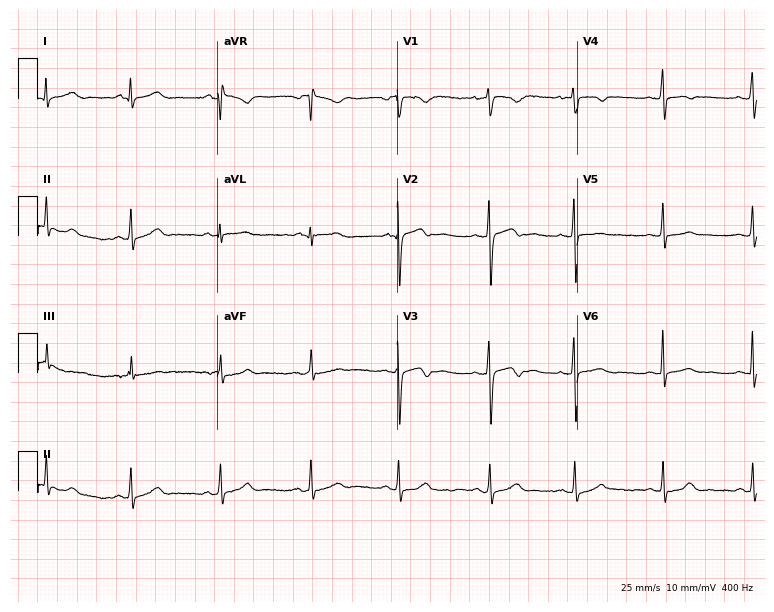
Resting 12-lead electrocardiogram. Patient: a 25-year-old female. None of these six findings is recorded: first-degree AV block, right bundle branch block, left bundle branch block, sinus bradycardia, atrial fibrillation, sinus tachycardia.